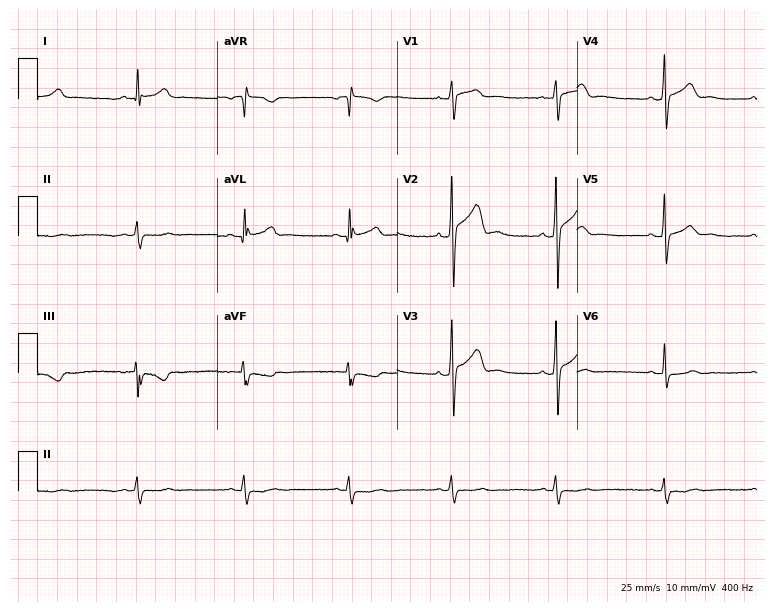
Resting 12-lead electrocardiogram (7.3-second recording at 400 Hz). Patient: a 35-year-old man. None of these six findings is recorded: first-degree AV block, right bundle branch block, left bundle branch block, sinus bradycardia, atrial fibrillation, sinus tachycardia.